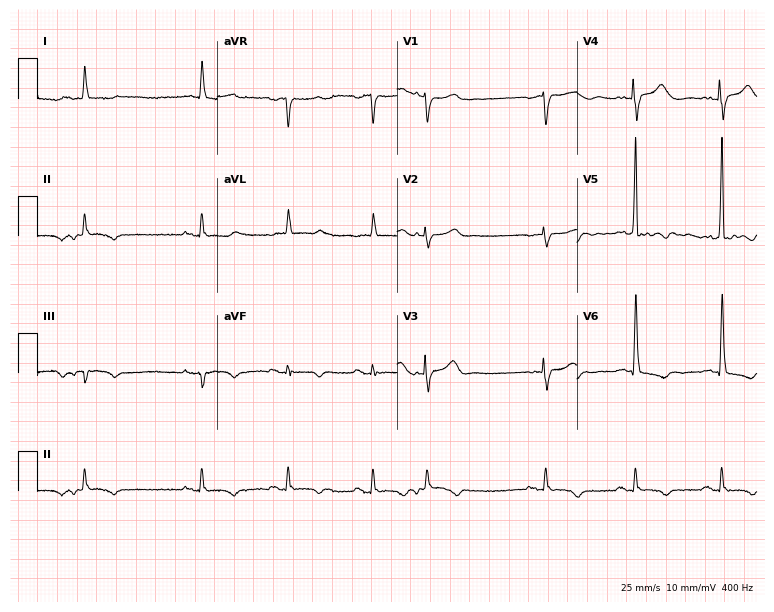
Standard 12-lead ECG recorded from an 80-year-old woman (7.3-second recording at 400 Hz). None of these six findings is recorded: first-degree AV block, right bundle branch block, left bundle branch block, sinus bradycardia, atrial fibrillation, sinus tachycardia. Only these six findings were labelled.